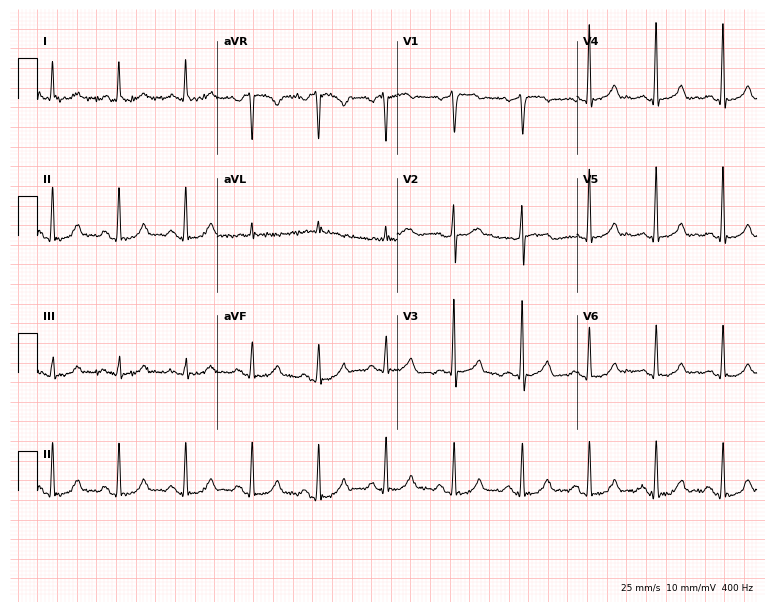
Standard 12-lead ECG recorded from a 63-year-old male. Read as a normal ECG.